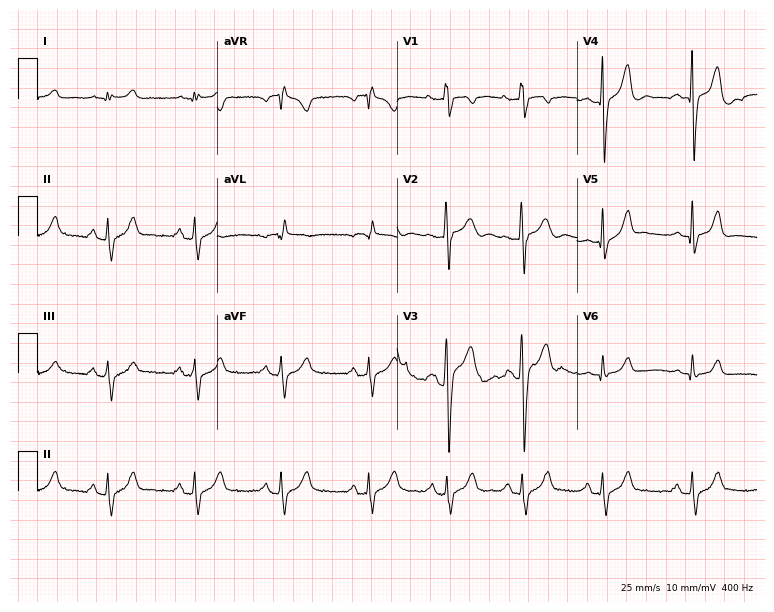
Standard 12-lead ECG recorded from a male patient, 31 years old (7.3-second recording at 400 Hz). None of these six findings is recorded: first-degree AV block, right bundle branch block (RBBB), left bundle branch block (LBBB), sinus bradycardia, atrial fibrillation (AF), sinus tachycardia. Other findings, if any, are not listed.